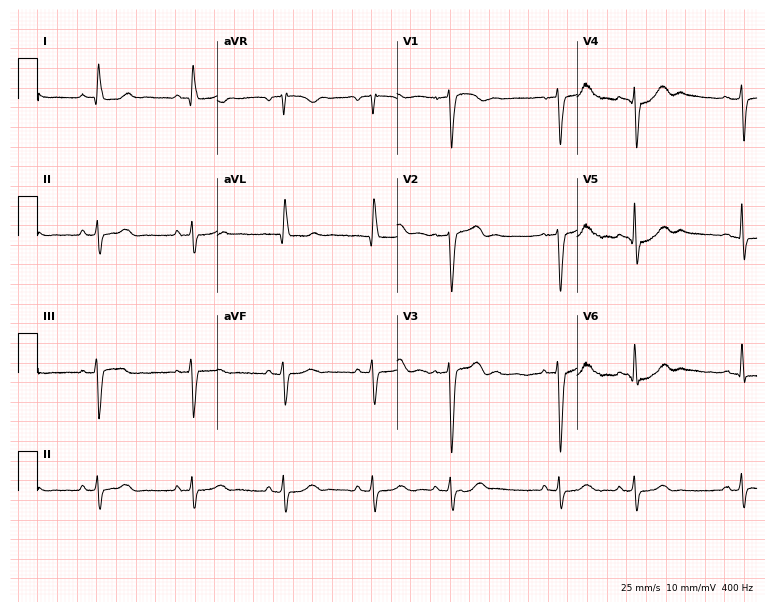
12-lead ECG from a 69-year-old female (7.3-second recording at 400 Hz). No first-degree AV block, right bundle branch block, left bundle branch block, sinus bradycardia, atrial fibrillation or sinus tachycardia recorded for this tracing. Other findings, if any, are not listed.